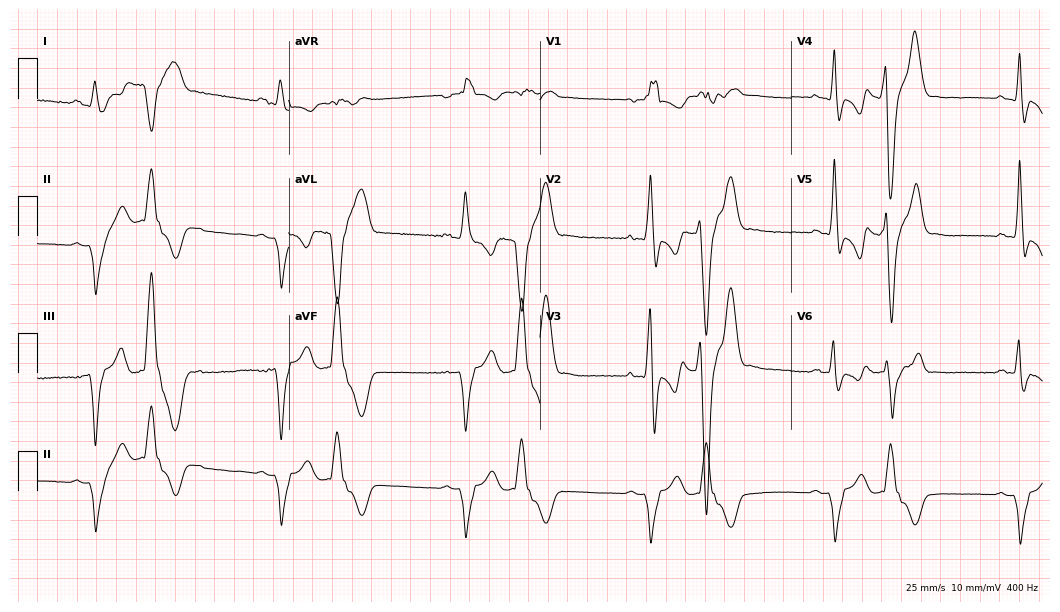
Standard 12-lead ECG recorded from a man, 53 years old (10.2-second recording at 400 Hz). The tracing shows right bundle branch block (RBBB).